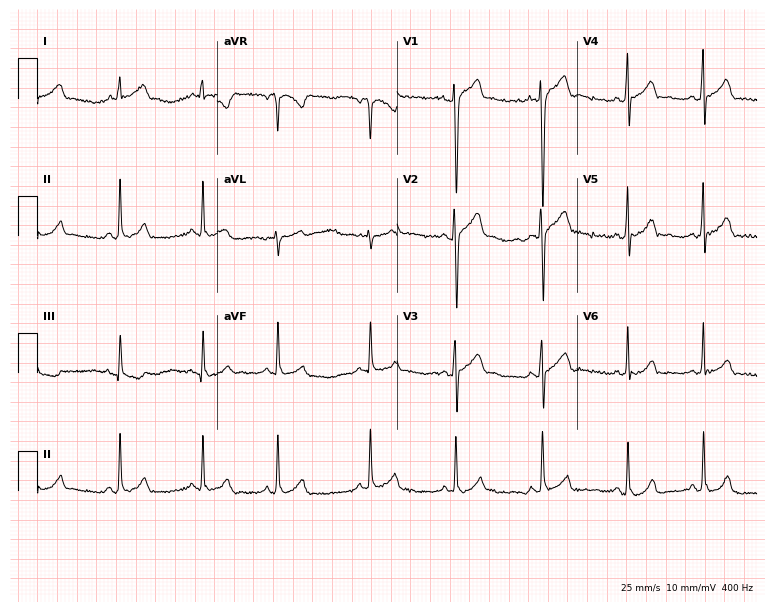
12-lead ECG from a male, 20 years old. Screened for six findings — first-degree AV block, right bundle branch block, left bundle branch block, sinus bradycardia, atrial fibrillation, sinus tachycardia — none is recorded. Only these six findings were labelled.